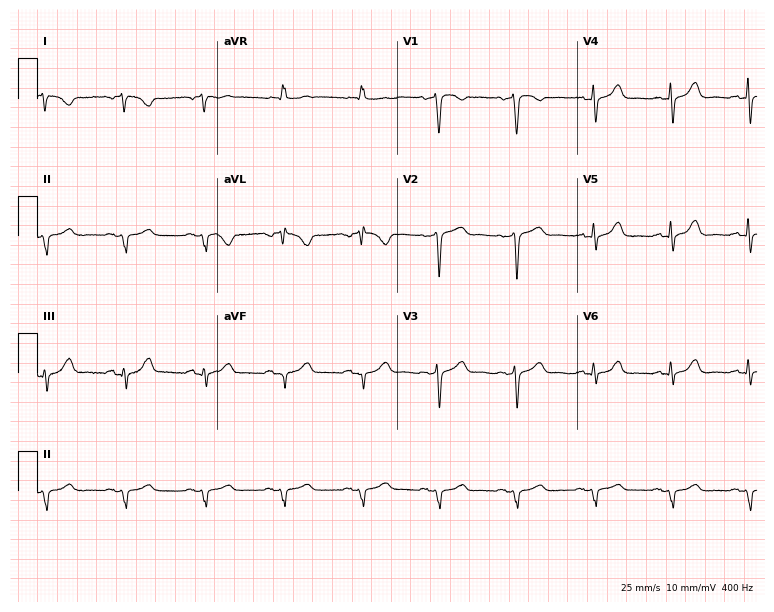
Standard 12-lead ECG recorded from a 50-year-old female (7.3-second recording at 400 Hz). None of these six findings is recorded: first-degree AV block, right bundle branch block, left bundle branch block, sinus bradycardia, atrial fibrillation, sinus tachycardia. Only these six findings were labelled.